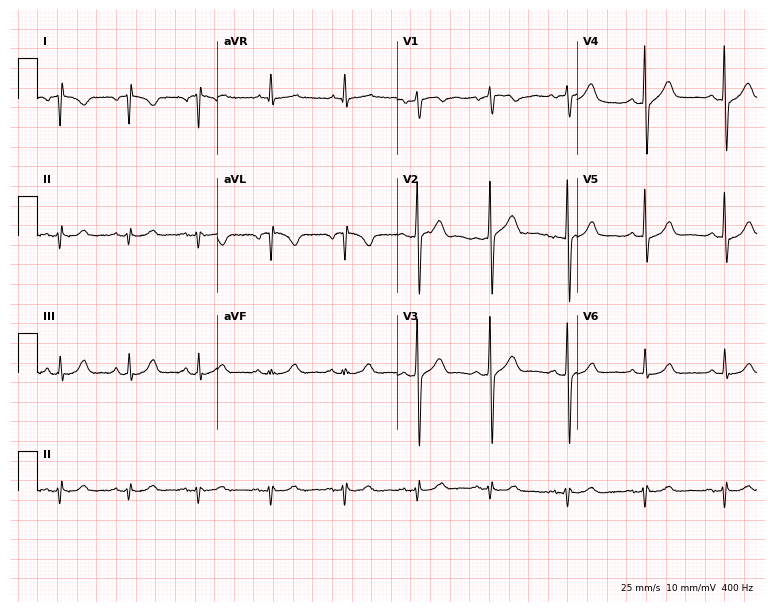
ECG — a male patient, 61 years old. Screened for six findings — first-degree AV block, right bundle branch block, left bundle branch block, sinus bradycardia, atrial fibrillation, sinus tachycardia — none is recorded. Only these six findings were labelled.